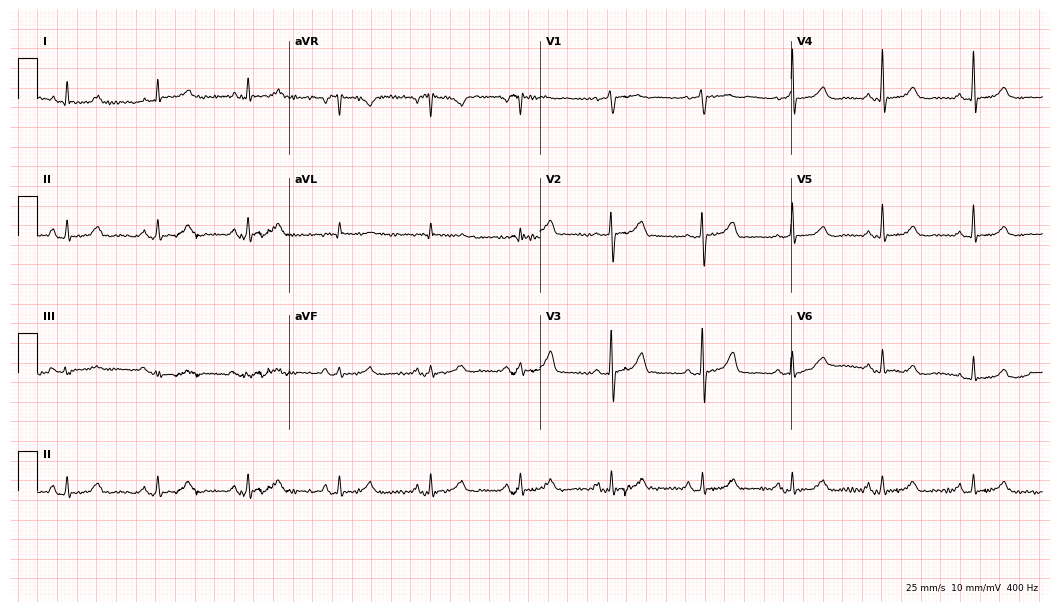
12-lead ECG from a 66-year-old female (10.2-second recording at 400 Hz). Recorded interpretation: within normal limits.